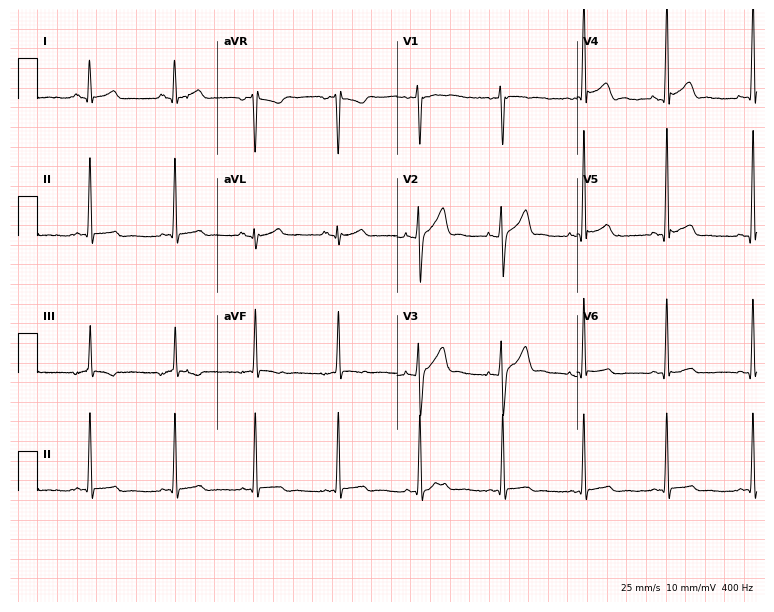
12-lead ECG from a male, 19 years old. Recorded interpretation: within normal limits.